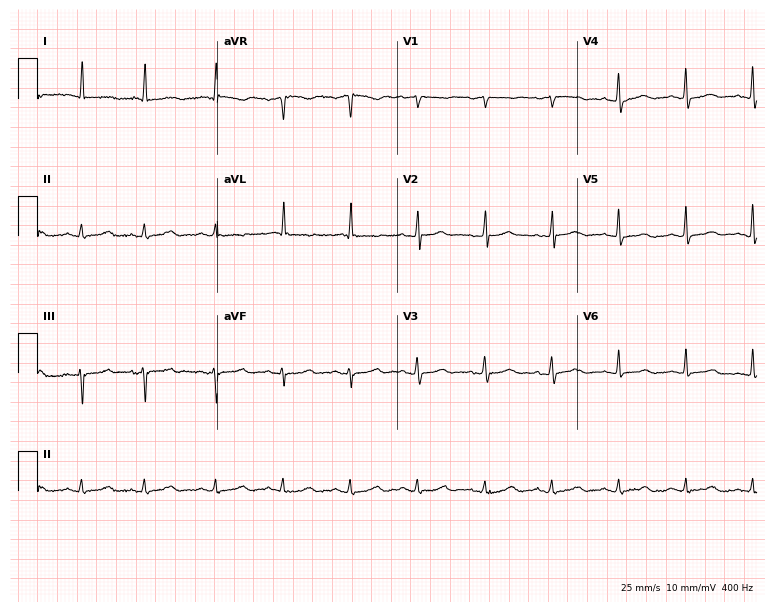
Resting 12-lead electrocardiogram. Patient: an 80-year-old female. None of these six findings is recorded: first-degree AV block, right bundle branch block (RBBB), left bundle branch block (LBBB), sinus bradycardia, atrial fibrillation (AF), sinus tachycardia. Other findings, if any, are not listed.